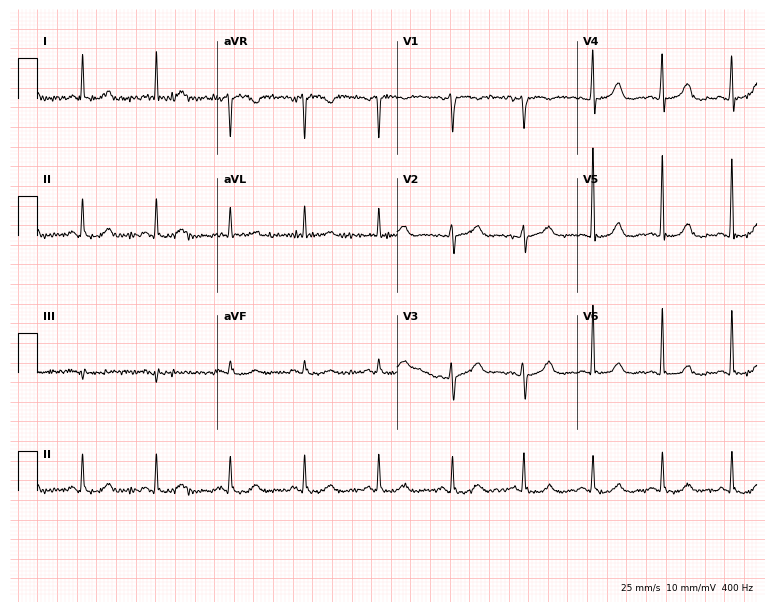
12-lead ECG from a woman, 62 years old (7.3-second recording at 400 Hz). Recorded interpretation: within normal limits.